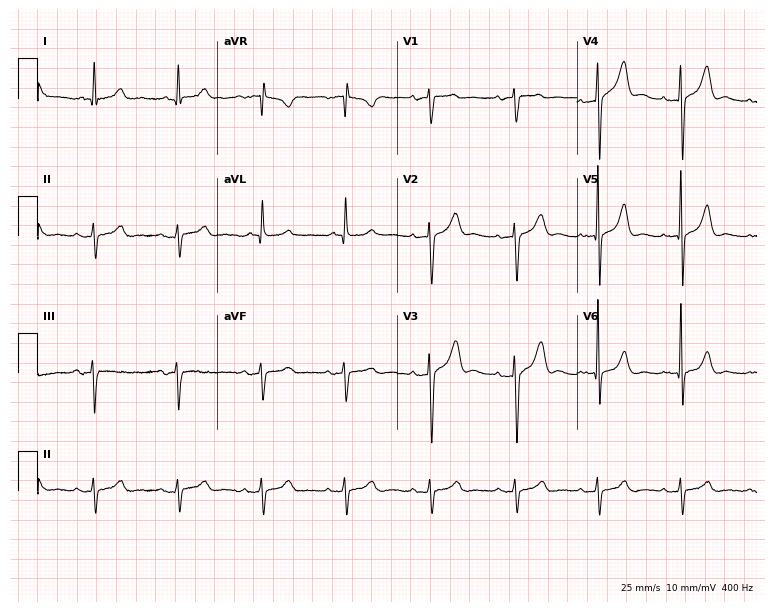
Resting 12-lead electrocardiogram. Patient: an 83-year-old male. Read as a normal ECG.